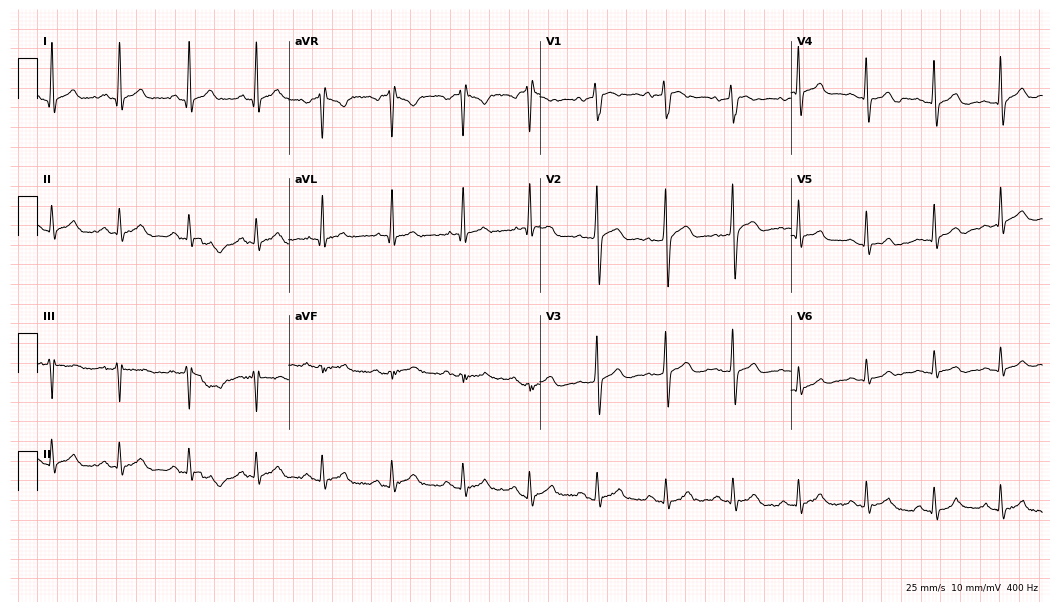
ECG — a 38-year-old man. Screened for six findings — first-degree AV block, right bundle branch block, left bundle branch block, sinus bradycardia, atrial fibrillation, sinus tachycardia — none is recorded.